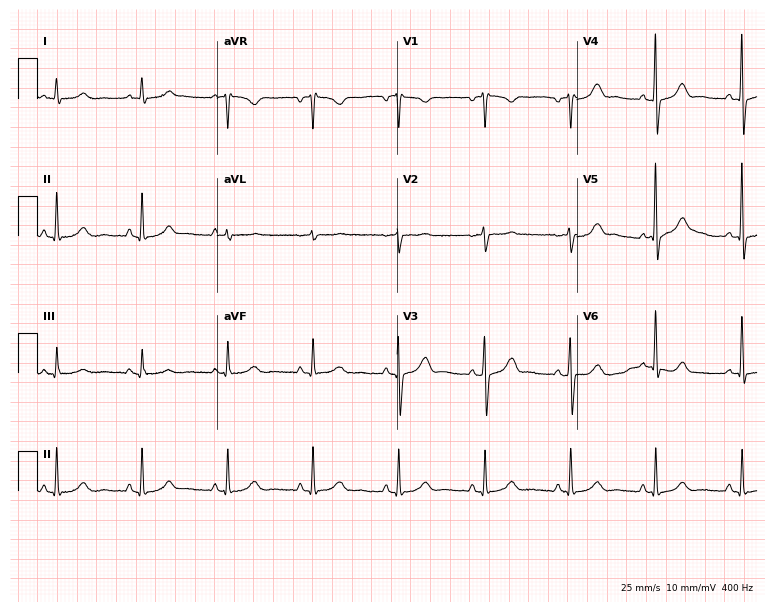
Standard 12-lead ECG recorded from a male patient, 69 years old. Read as a normal ECG.